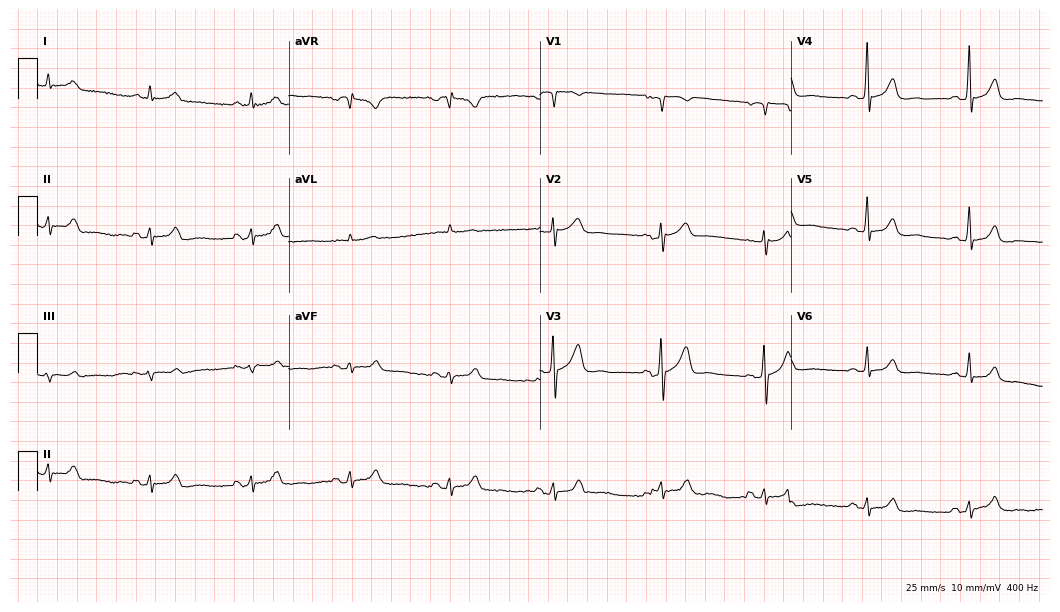
ECG — a 58-year-old man. Labelled as a normal ECG.